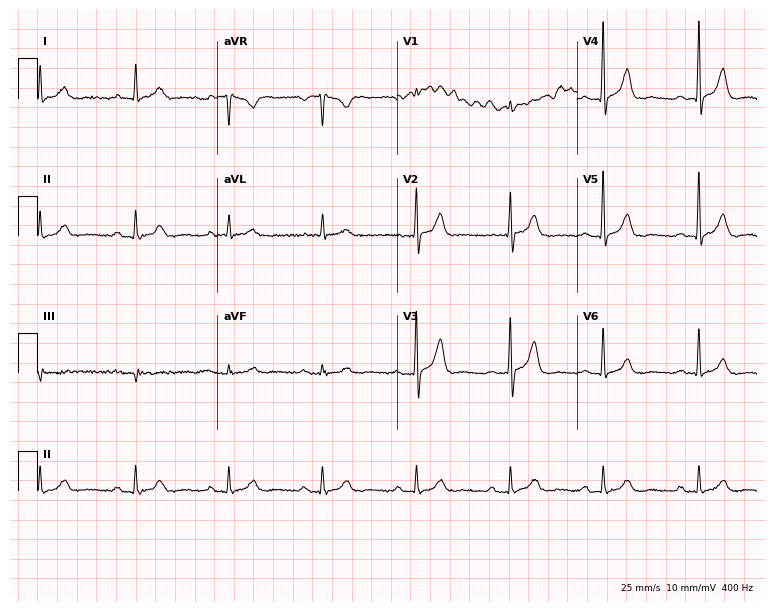
Resting 12-lead electrocardiogram (7.3-second recording at 400 Hz). Patient: a 75-year-old male. Read as a normal ECG.